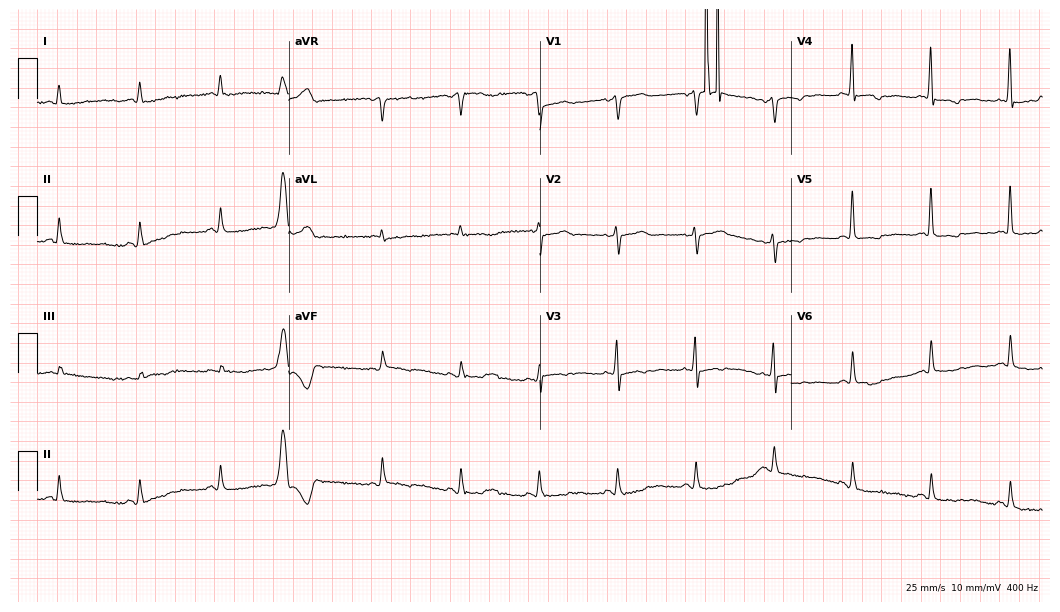
Standard 12-lead ECG recorded from a 77-year-old man. None of these six findings is recorded: first-degree AV block, right bundle branch block, left bundle branch block, sinus bradycardia, atrial fibrillation, sinus tachycardia. Other findings, if any, are not listed.